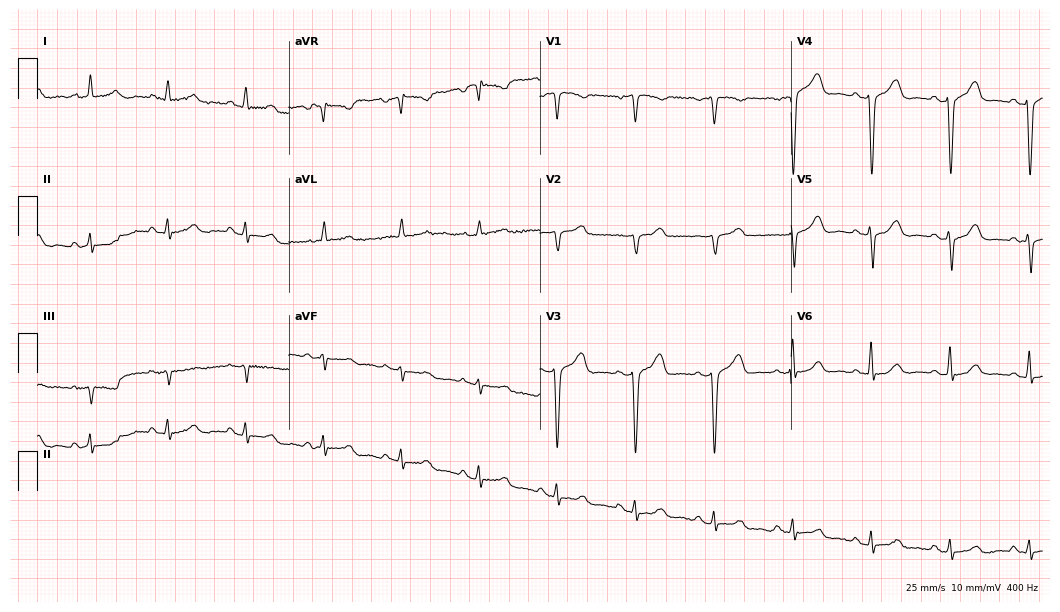
Resting 12-lead electrocardiogram. Patient: a 70-year-old man. Read as a normal ECG.